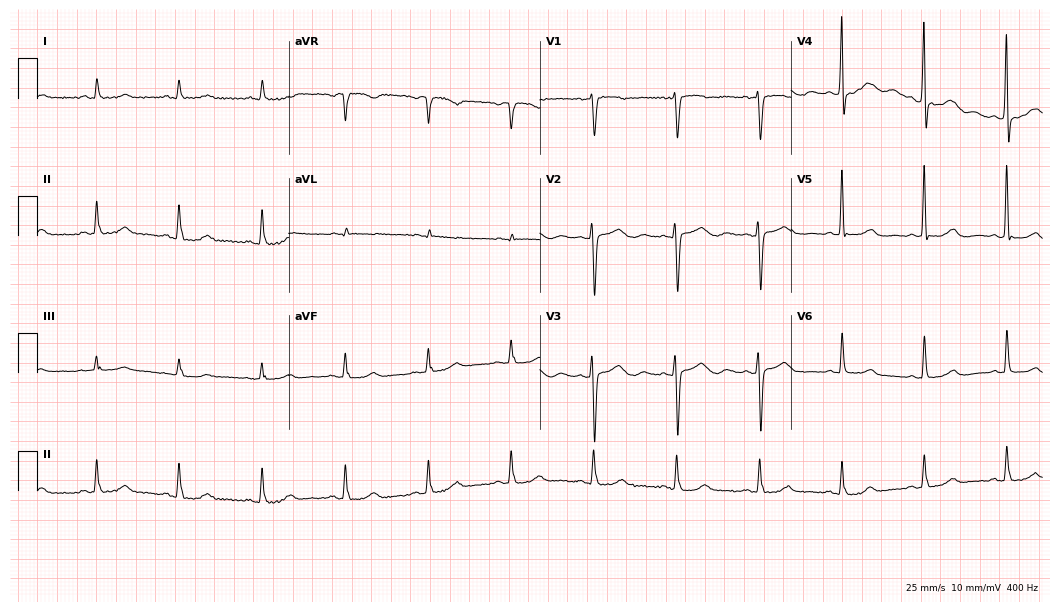
Resting 12-lead electrocardiogram (10.2-second recording at 400 Hz). Patient: a woman, 85 years old. None of these six findings is recorded: first-degree AV block, right bundle branch block, left bundle branch block, sinus bradycardia, atrial fibrillation, sinus tachycardia.